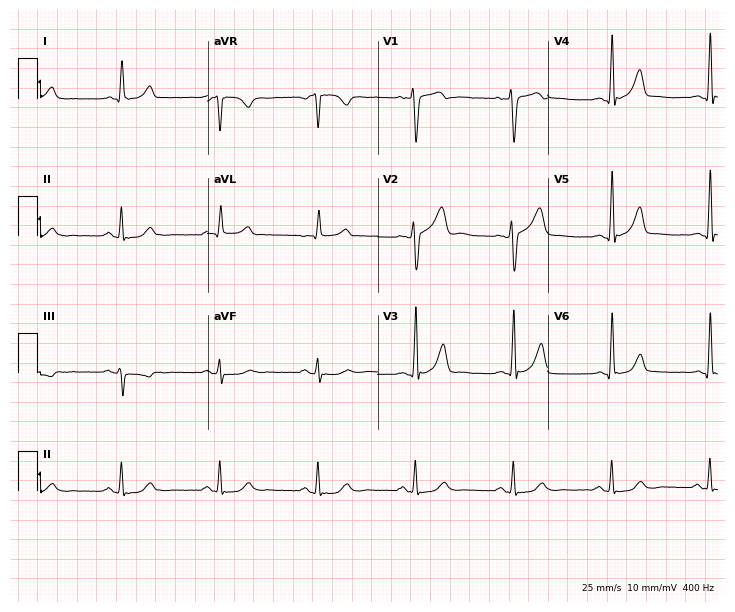
Standard 12-lead ECG recorded from a male, 52 years old. Read as a normal ECG.